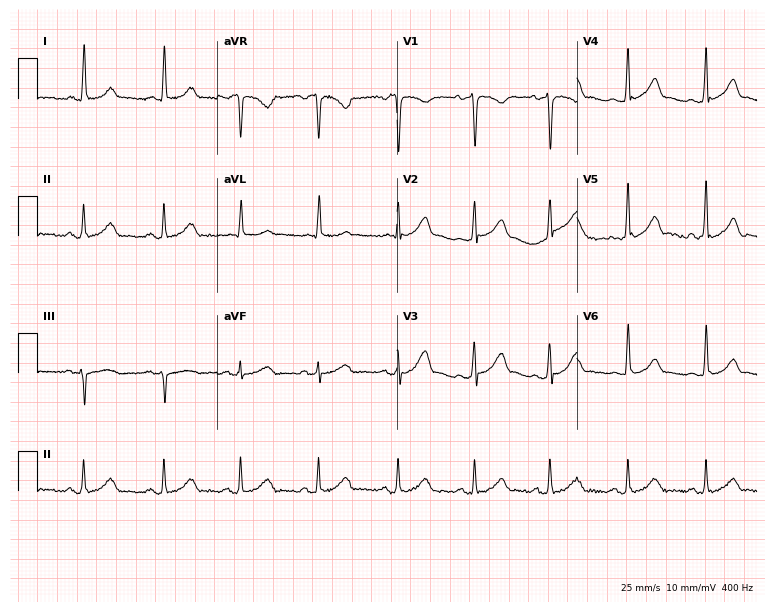
Resting 12-lead electrocardiogram. Patient: a woman, 24 years old. Read as a normal ECG.